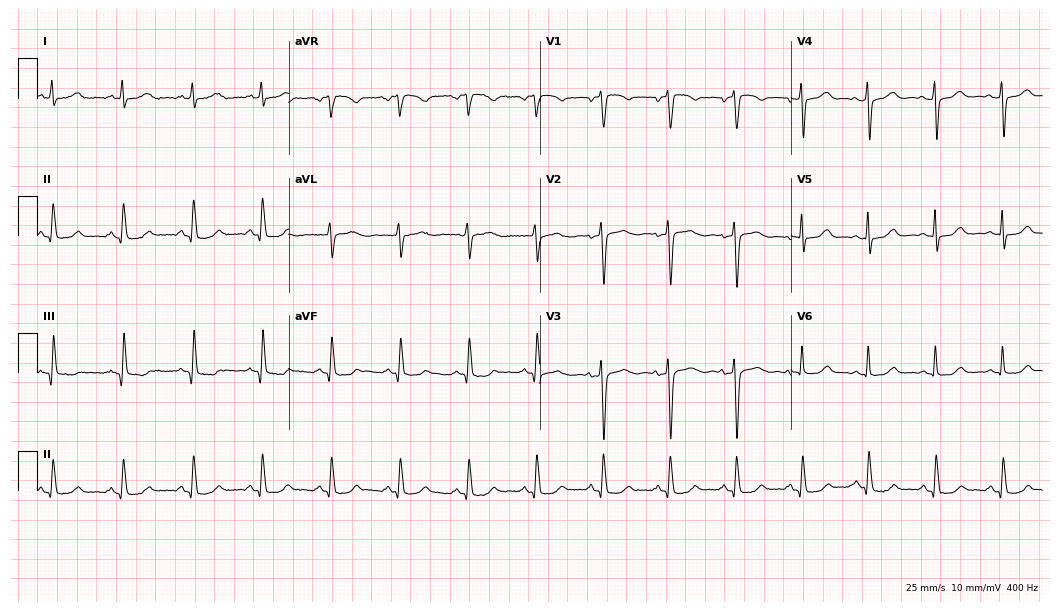
Standard 12-lead ECG recorded from a woman, 67 years old. Read as a normal ECG.